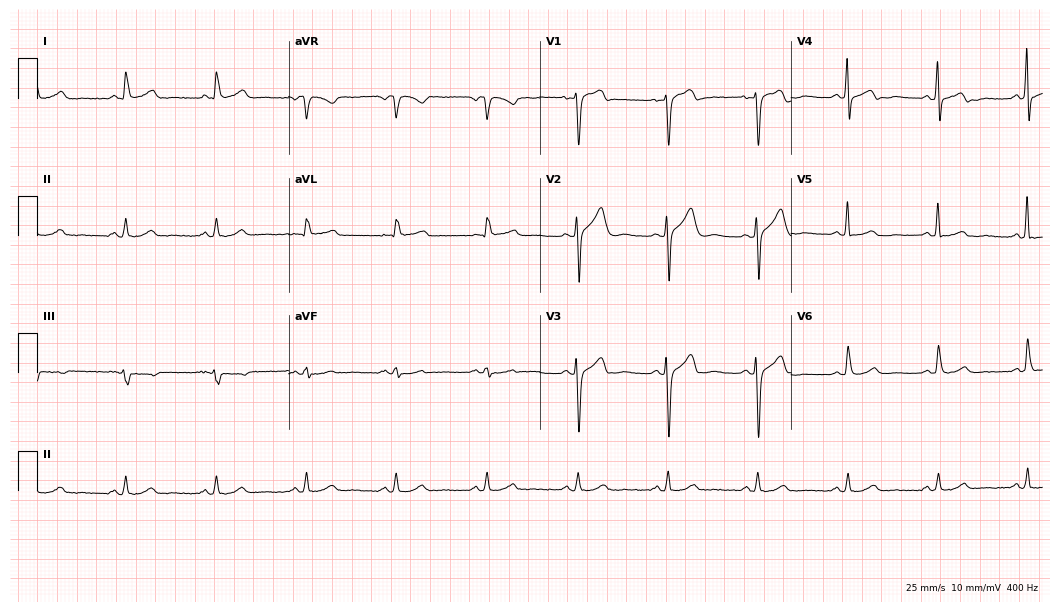
12-lead ECG (10.2-second recording at 400 Hz) from a man, 60 years old. Screened for six findings — first-degree AV block, right bundle branch block, left bundle branch block, sinus bradycardia, atrial fibrillation, sinus tachycardia — none is recorded.